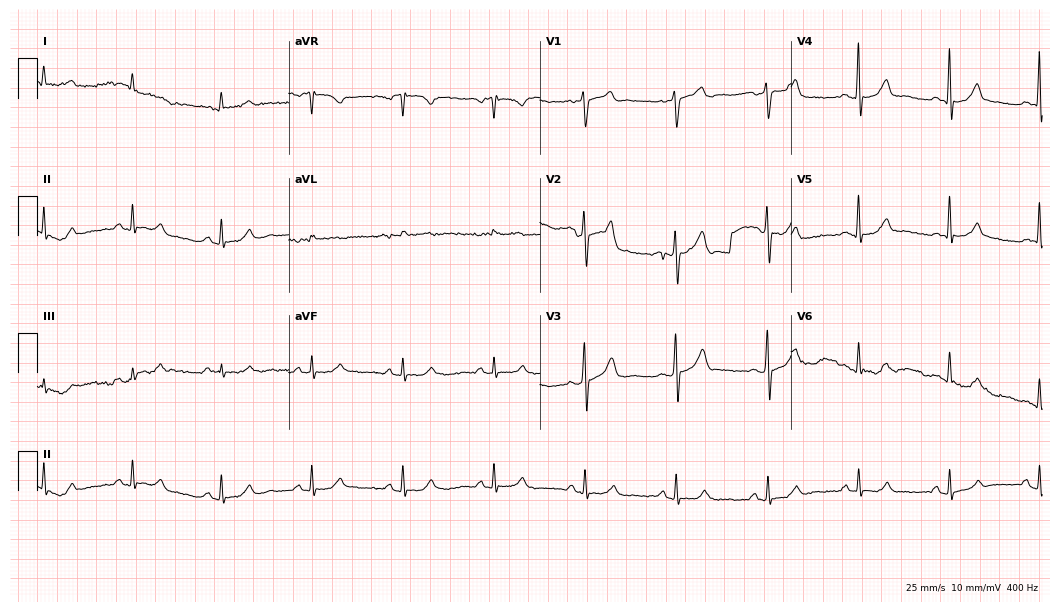
12-lead ECG (10.2-second recording at 400 Hz) from a 71-year-old male. Screened for six findings — first-degree AV block, right bundle branch block, left bundle branch block, sinus bradycardia, atrial fibrillation, sinus tachycardia — none is recorded.